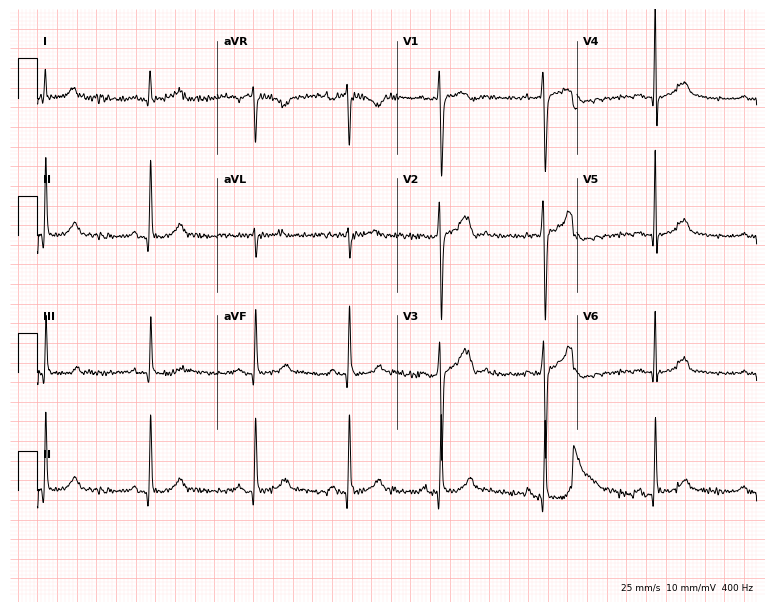
Standard 12-lead ECG recorded from a 28-year-old male patient (7.3-second recording at 400 Hz). None of these six findings is recorded: first-degree AV block, right bundle branch block, left bundle branch block, sinus bradycardia, atrial fibrillation, sinus tachycardia.